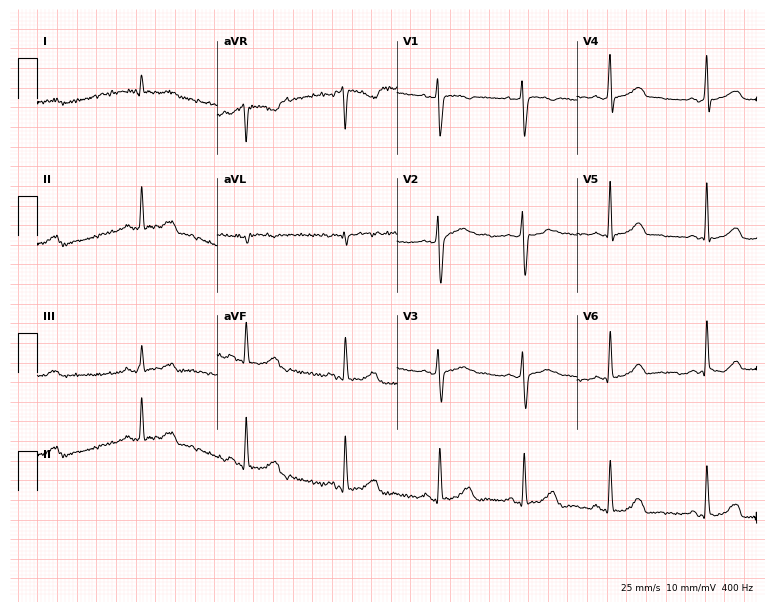
Standard 12-lead ECG recorded from a 34-year-old female. None of these six findings is recorded: first-degree AV block, right bundle branch block (RBBB), left bundle branch block (LBBB), sinus bradycardia, atrial fibrillation (AF), sinus tachycardia.